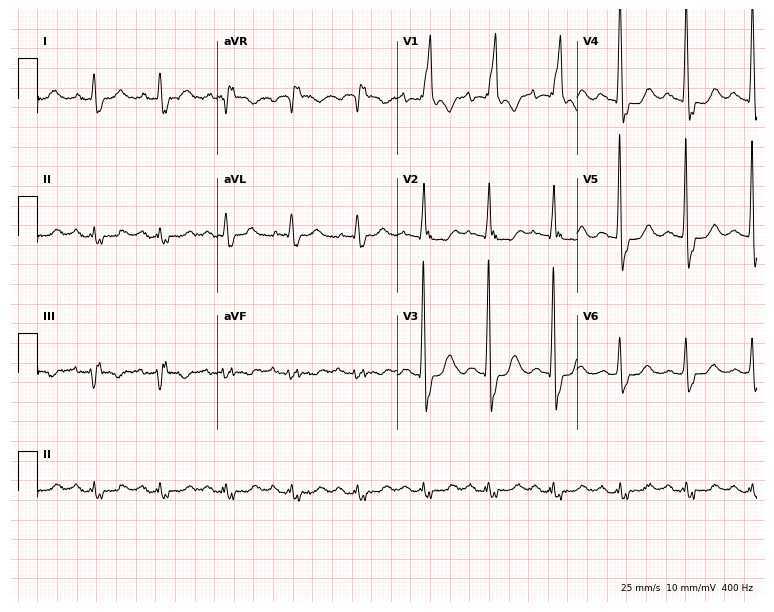
Standard 12-lead ECG recorded from a female patient, 79 years old (7.3-second recording at 400 Hz). The tracing shows right bundle branch block (RBBB).